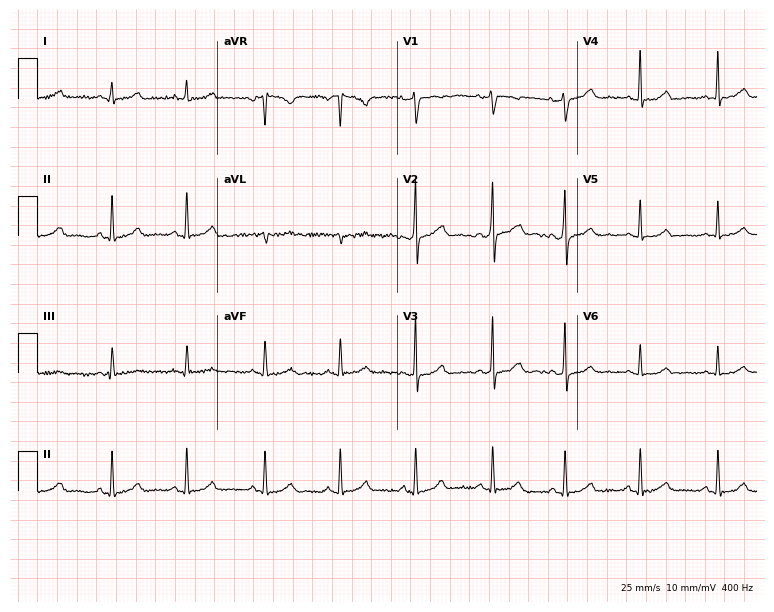
12-lead ECG from a female patient, 31 years old. Labelled as a normal ECG.